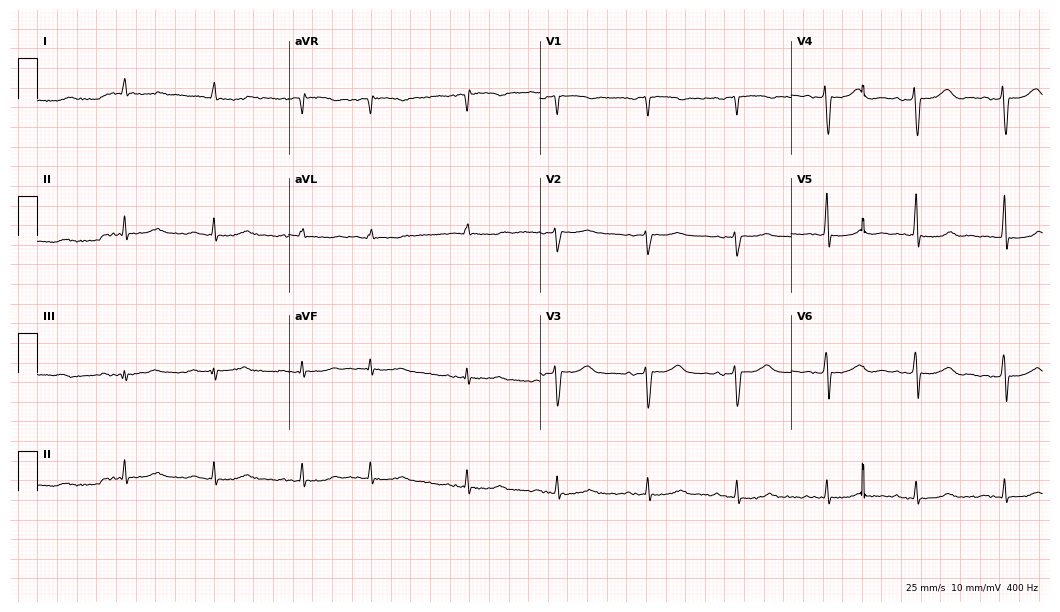
ECG (10.2-second recording at 400 Hz) — a man, 65 years old. Screened for six findings — first-degree AV block, right bundle branch block, left bundle branch block, sinus bradycardia, atrial fibrillation, sinus tachycardia — none is recorded.